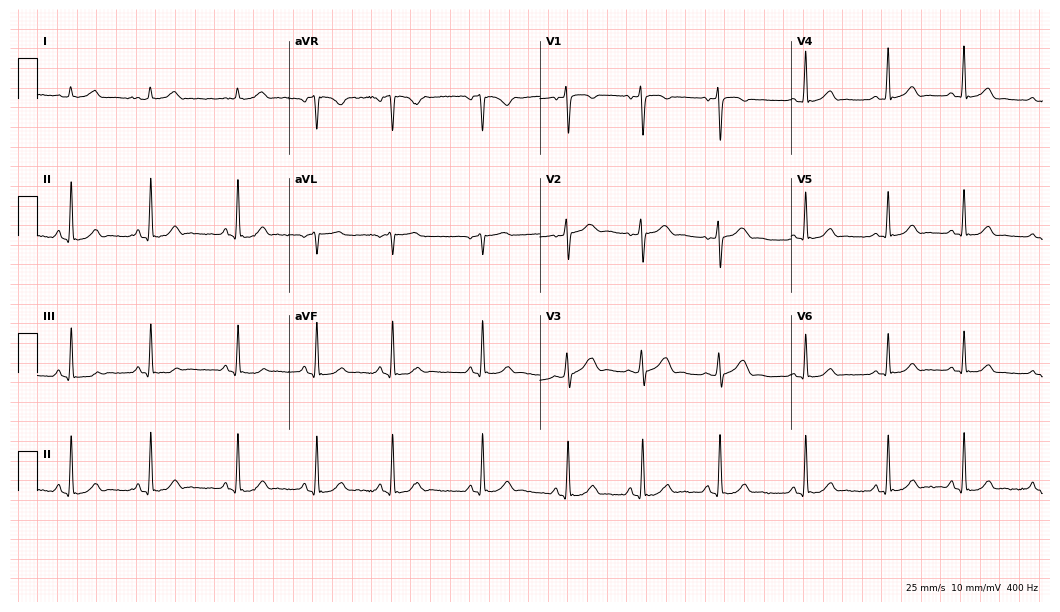
Standard 12-lead ECG recorded from a female patient, 21 years old (10.2-second recording at 400 Hz). Read as a normal ECG.